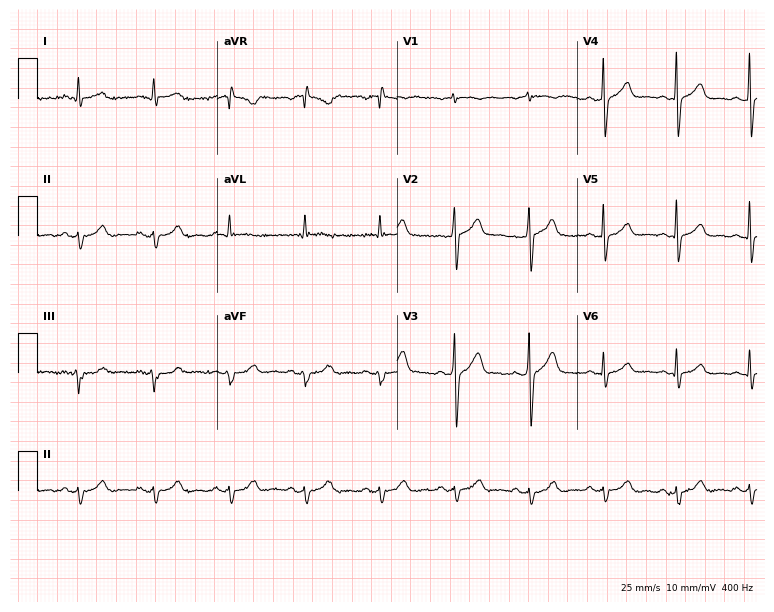
Resting 12-lead electrocardiogram. Patient: a 49-year-old male. None of these six findings is recorded: first-degree AV block, right bundle branch block, left bundle branch block, sinus bradycardia, atrial fibrillation, sinus tachycardia.